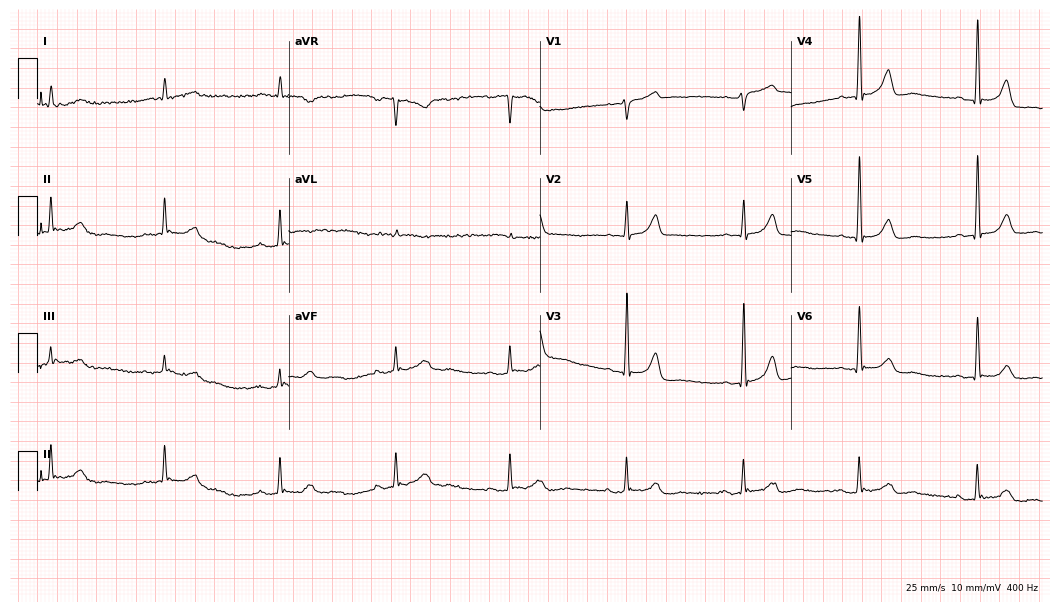
Resting 12-lead electrocardiogram. Patient: an 81-year-old male. Read as a normal ECG.